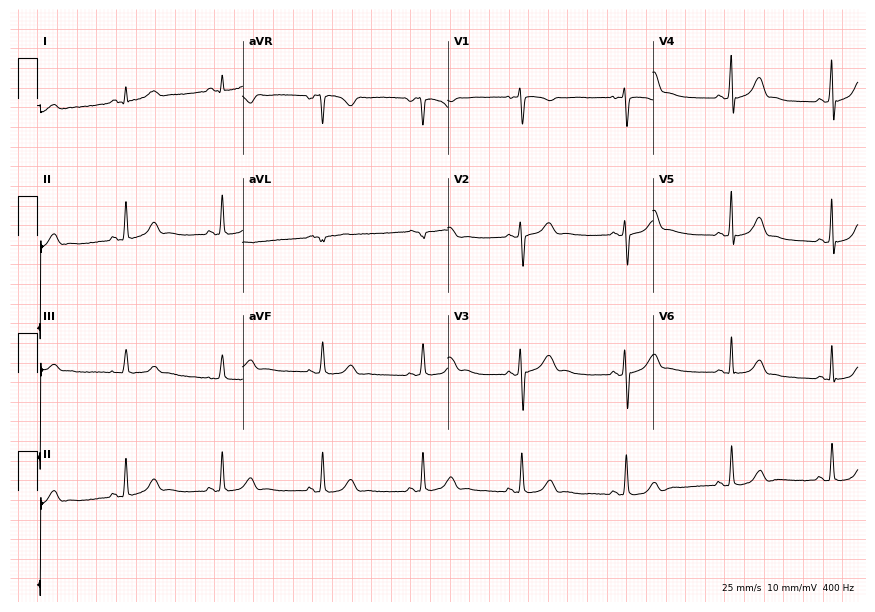
Resting 12-lead electrocardiogram (8.4-second recording at 400 Hz). Patient: a woman, 19 years old. Read as a normal ECG.